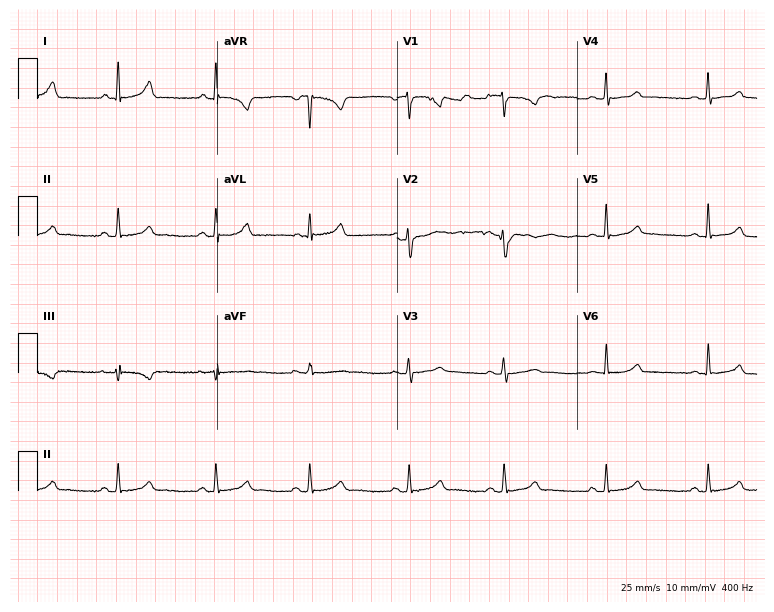
ECG (7.3-second recording at 400 Hz) — a 34-year-old woman. Labelled as a normal ECG.